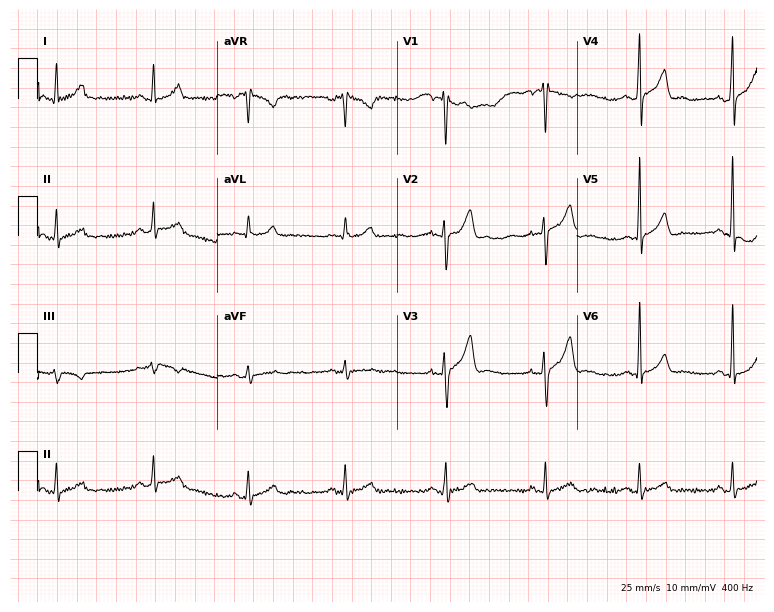
Resting 12-lead electrocardiogram (7.3-second recording at 400 Hz). Patient: a man, 39 years old. None of these six findings is recorded: first-degree AV block, right bundle branch block, left bundle branch block, sinus bradycardia, atrial fibrillation, sinus tachycardia.